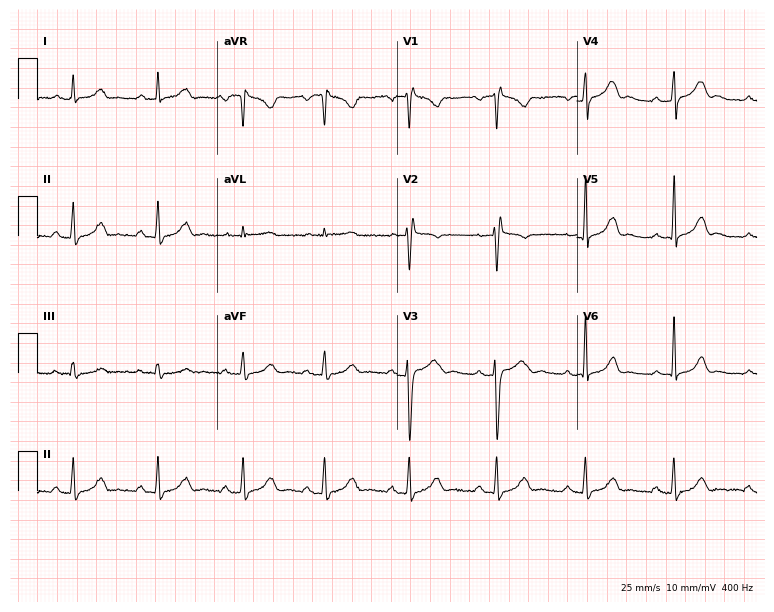
12-lead ECG from a woman, 22 years old. Screened for six findings — first-degree AV block, right bundle branch block, left bundle branch block, sinus bradycardia, atrial fibrillation, sinus tachycardia — none is recorded. Other findings, if any, are not listed.